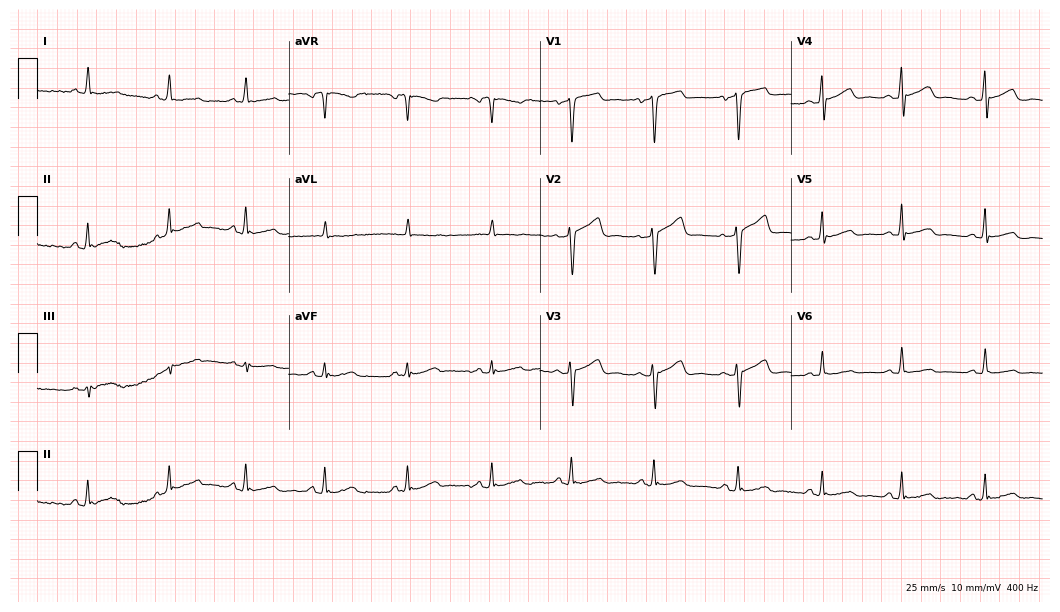
12-lead ECG from a 55-year-old female. Labelled as a normal ECG.